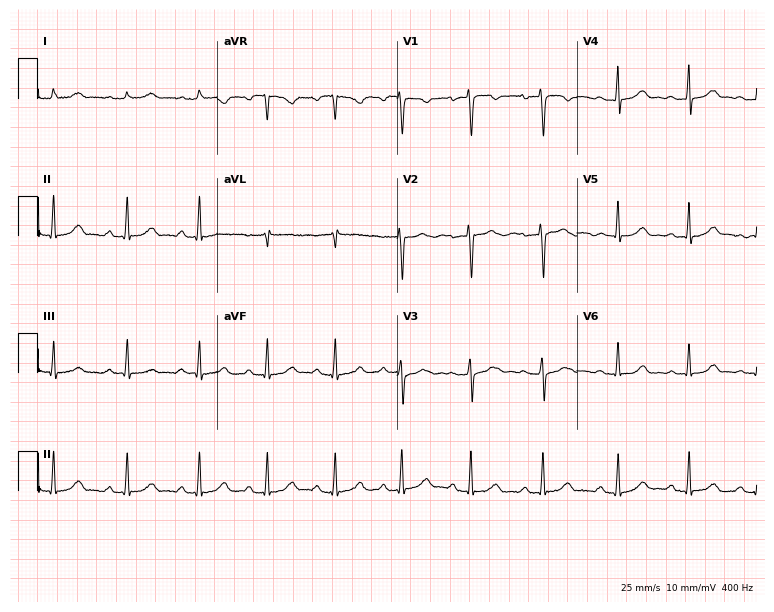
12-lead ECG from a 30-year-old female. Recorded interpretation: within normal limits.